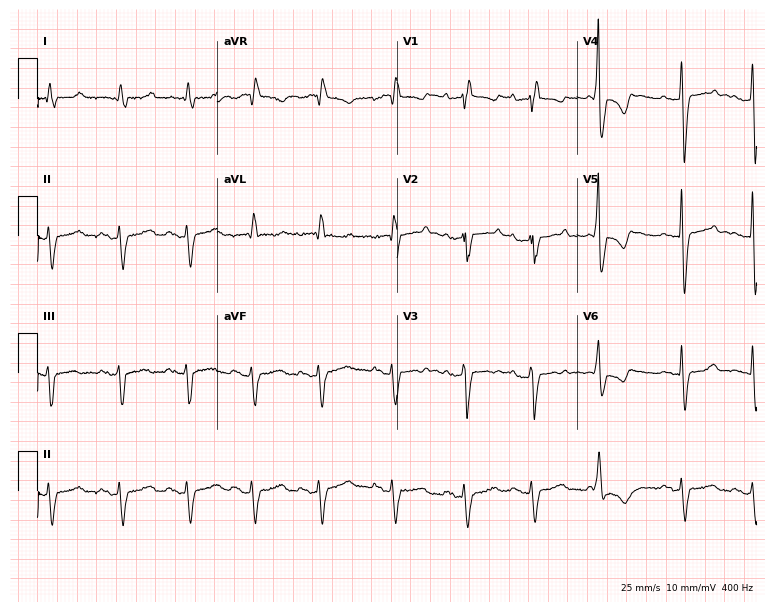
12-lead ECG from a woman, 76 years old. Shows right bundle branch block.